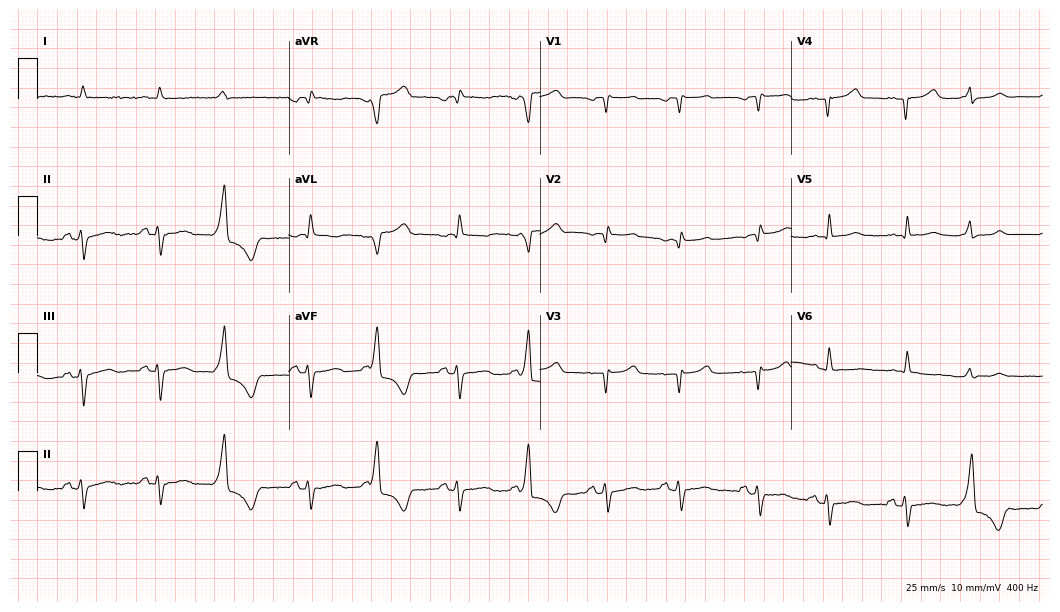
12-lead ECG from an 85-year-old male patient. No first-degree AV block, right bundle branch block, left bundle branch block, sinus bradycardia, atrial fibrillation or sinus tachycardia recorded for this tracing.